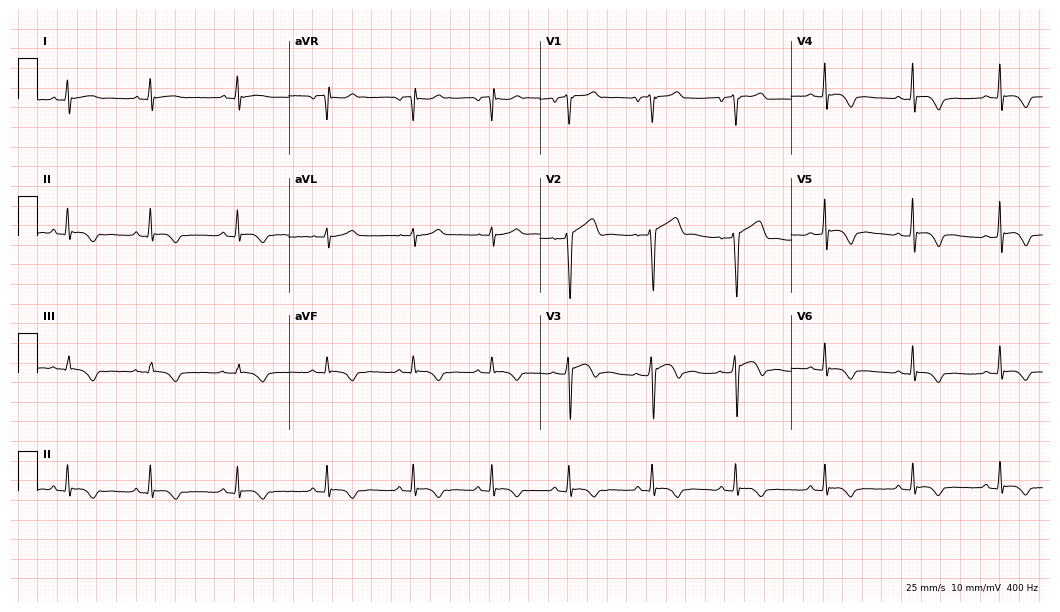
12-lead ECG (10.2-second recording at 400 Hz) from a male, 19 years old. Screened for six findings — first-degree AV block, right bundle branch block (RBBB), left bundle branch block (LBBB), sinus bradycardia, atrial fibrillation (AF), sinus tachycardia — none is recorded. Findings outside these six are not listed.